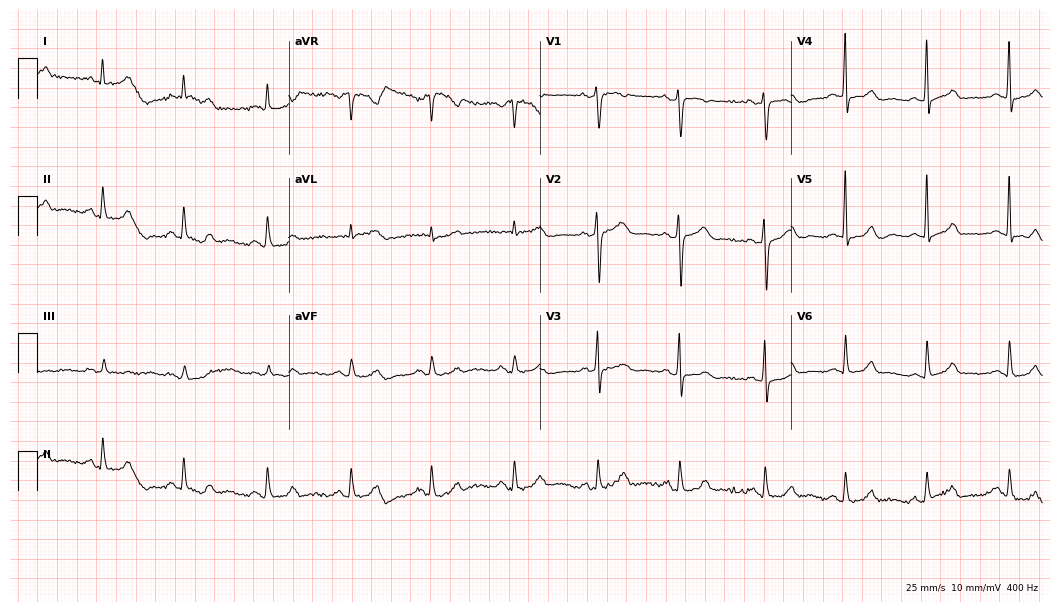
Resting 12-lead electrocardiogram. Patient: a female, 58 years old. None of these six findings is recorded: first-degree AV block, right bundle branch block, left bundle branch block, sinus bradycardia, atrial fibrillation, sinus tachycardia. Other findings, if any, are not listed.